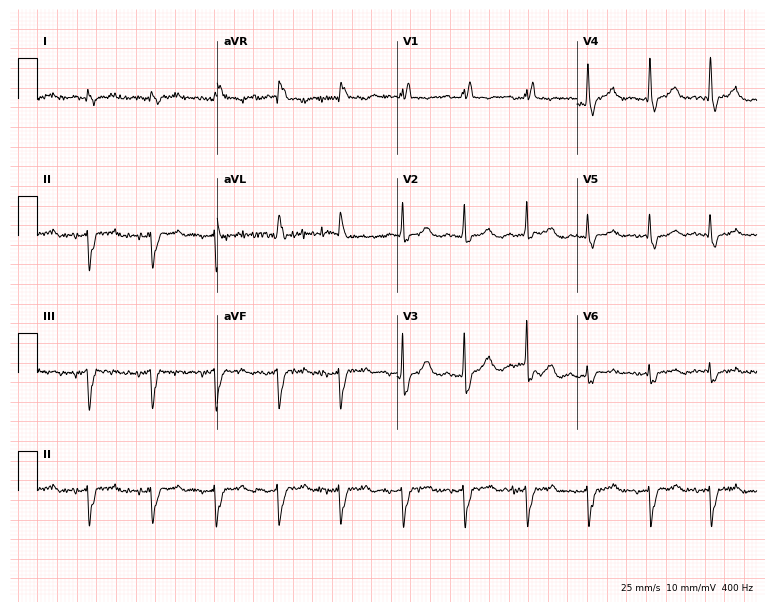
Electrocardiogram, an 81-year-old man. Interpretation includes right bundle branch block.